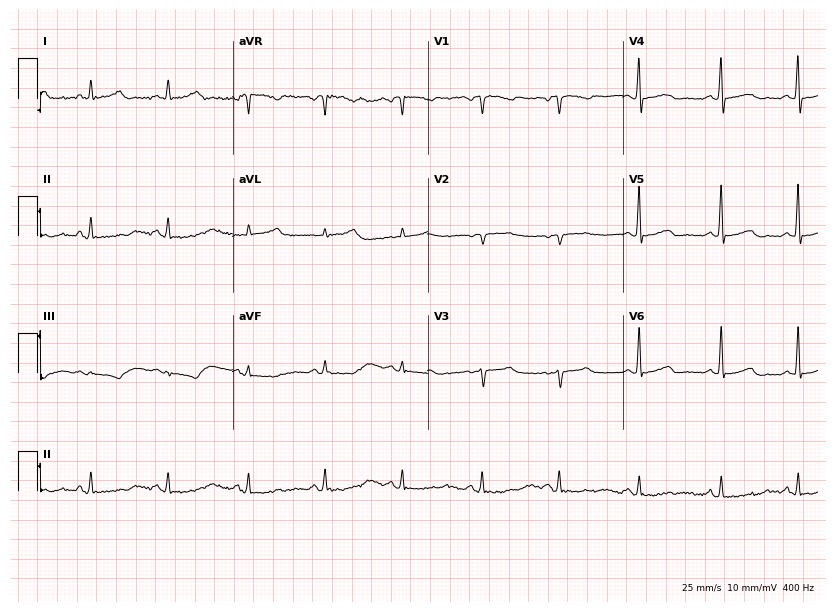
ECG — a 53-year-old woman. Screened for six findings — first-degree AV block, right bundle branch block (RBBB), left bundle branch block (LBBB), sinus bradycardia, atrial fibrillation (AF), sinus tachycardia — none is recorded. Only these six findings were labelled.